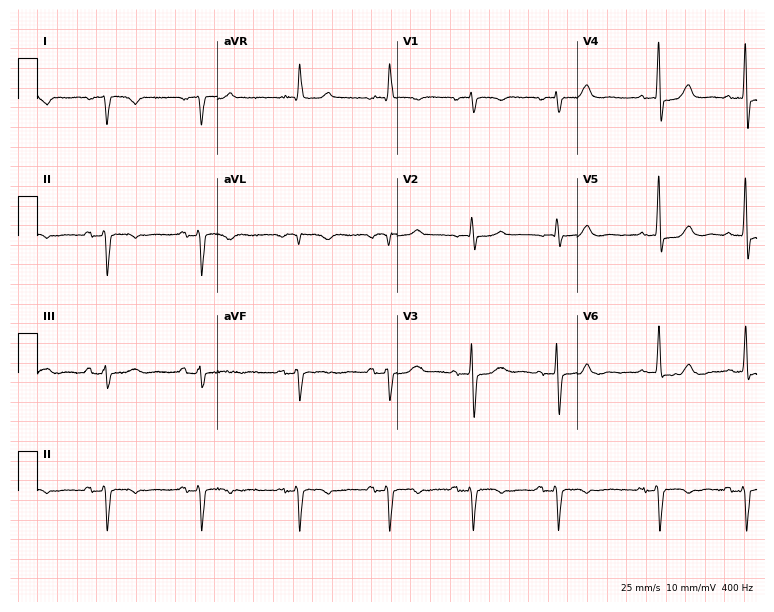
Resting 12-lead electrocardiogram. Patient: an 82-year-old female. None of these six findings is recorded: first-degree AV block, right bundle branch block (RBBB), left bundle branch block (LBBB), sinus bradycardia, atrial fibrillation (AF), sinus tachycardia.